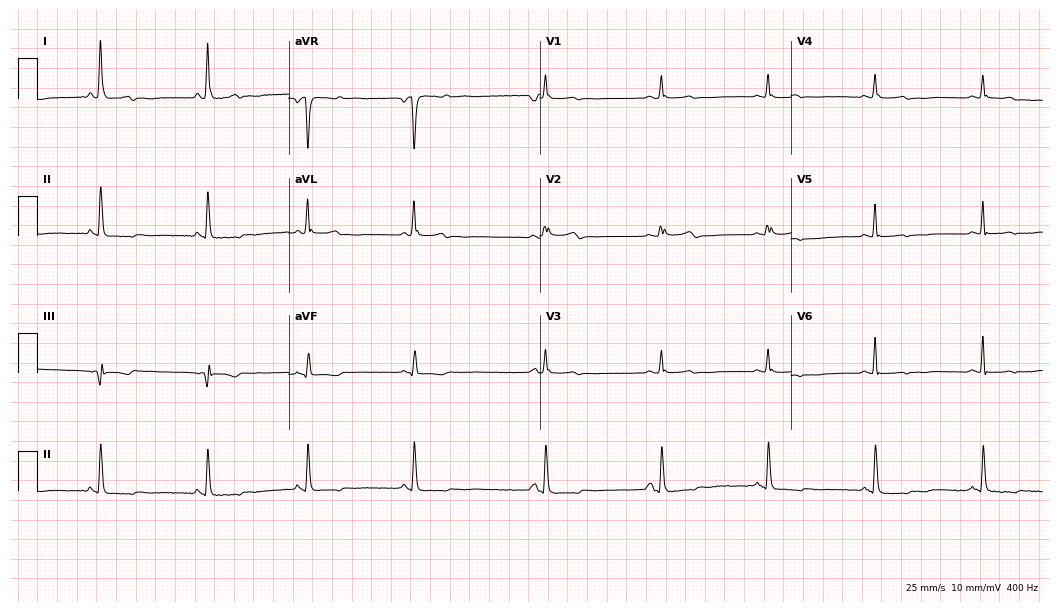
Standard 12-lead ECG recorded from a 68-year-old female patient. None of these six findings is recorded: first-degree AV block, right bundle branch block, left bundle branch block, sinus bradycardia, atrial fibrillation, sinus tachycardia. Other findings, if any, are not listed.